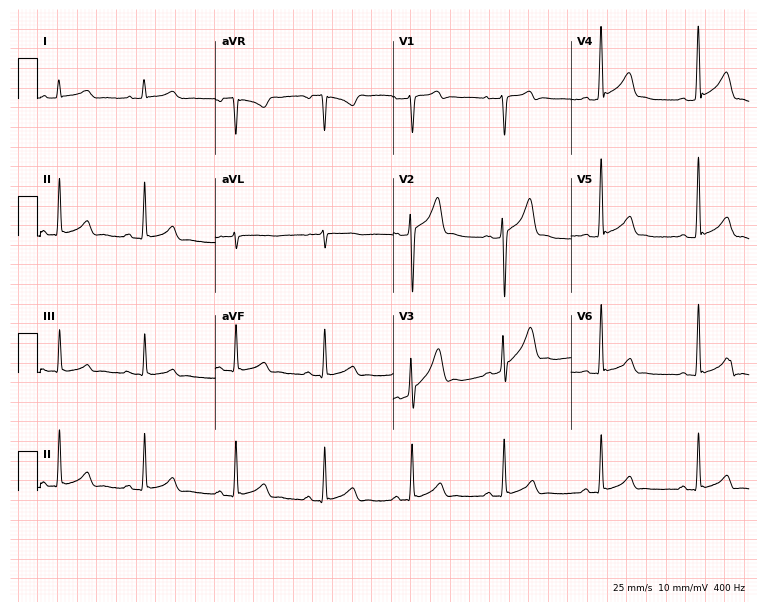
Resting 12-lead electrocardiogram (7.3-second recording at 400 Hz). Patient: a 24-year-old male. Read as a normal ECG.